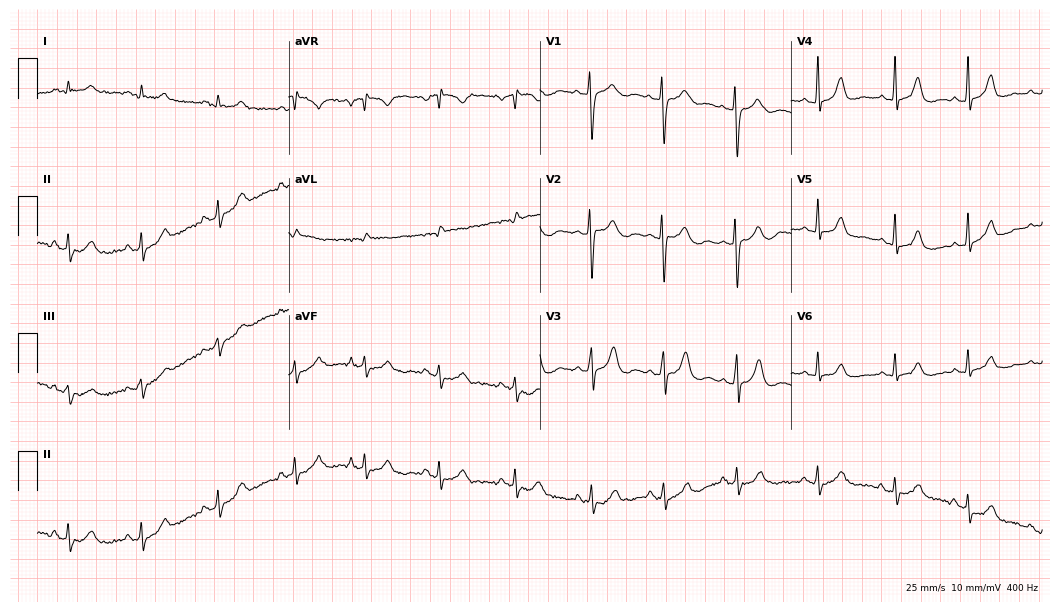
12-lead ECG from a woman, 30 years old. Labelled as a normal ECG.